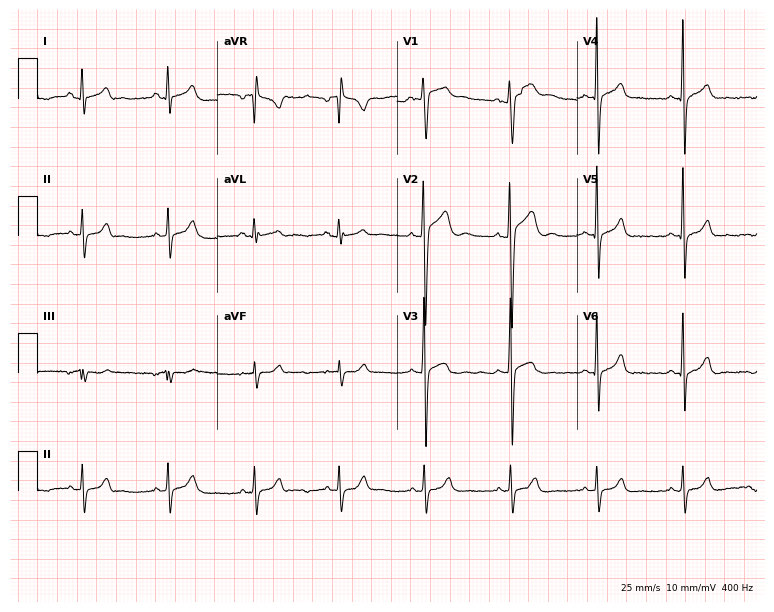
ECG — a 17-year-old man. Labelled as a normal ECG.